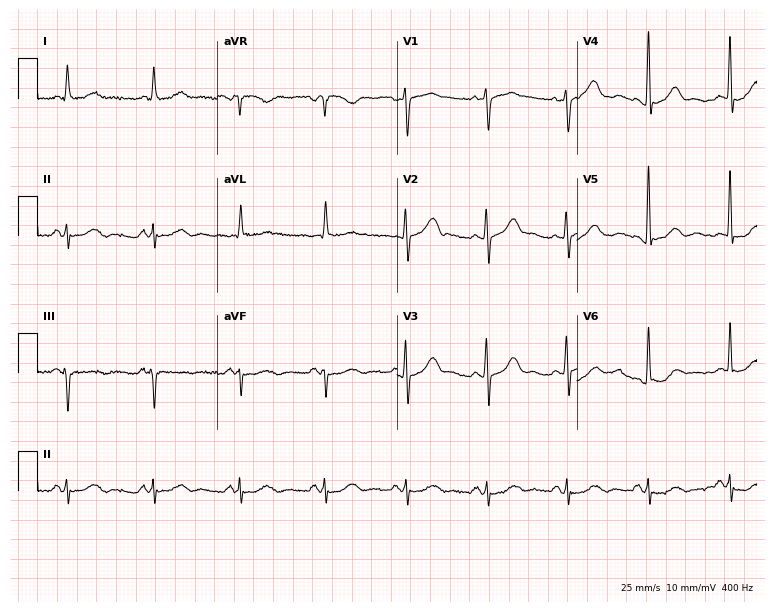
Resting 12-lead electrocardiogram. Patient: an 82-year-old male. None of these six findings is recorded: first-degree AV block, right bundle branch block, left bundle branch block, sinus bradycardia, atrial fibrillation, sinus tachycardia.